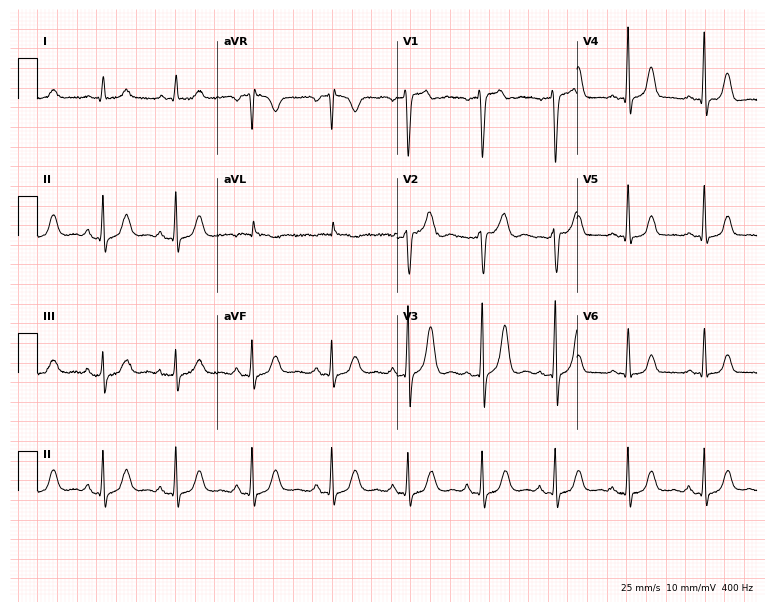
Electrocardiogram, a female patient, 49 years old. Overall reading on record: normal ECG.